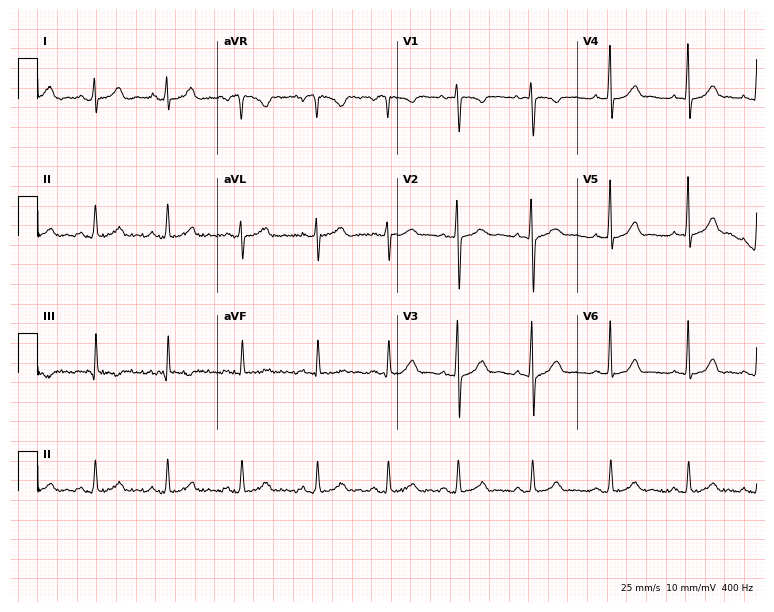
ECG — a 30-year-old female patient. Labelled as a normal ECG.